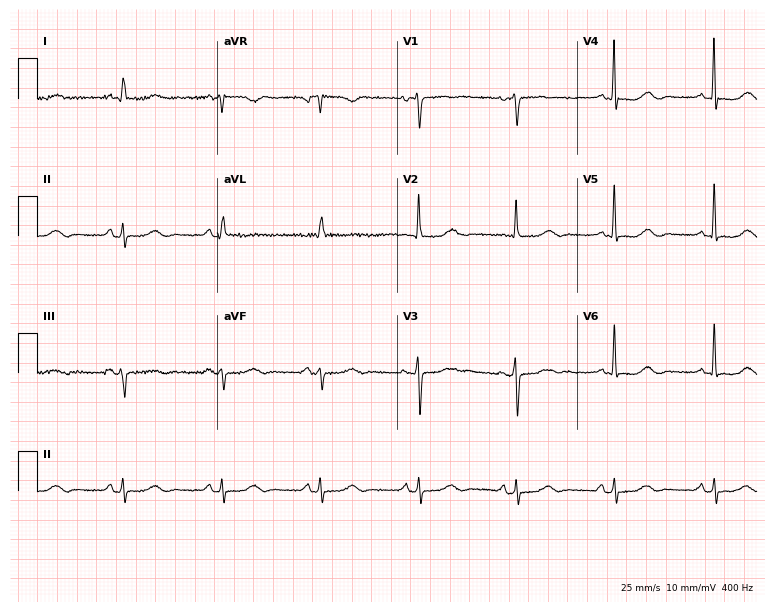
Electrocardiogram, an 82-year-old woman. Of the six screened findings (first-degree AV block, right bundle branch block, left bundle branch block, sinus bradycardia, atrial fibrillation, sinus tachycardia), none is recorded.